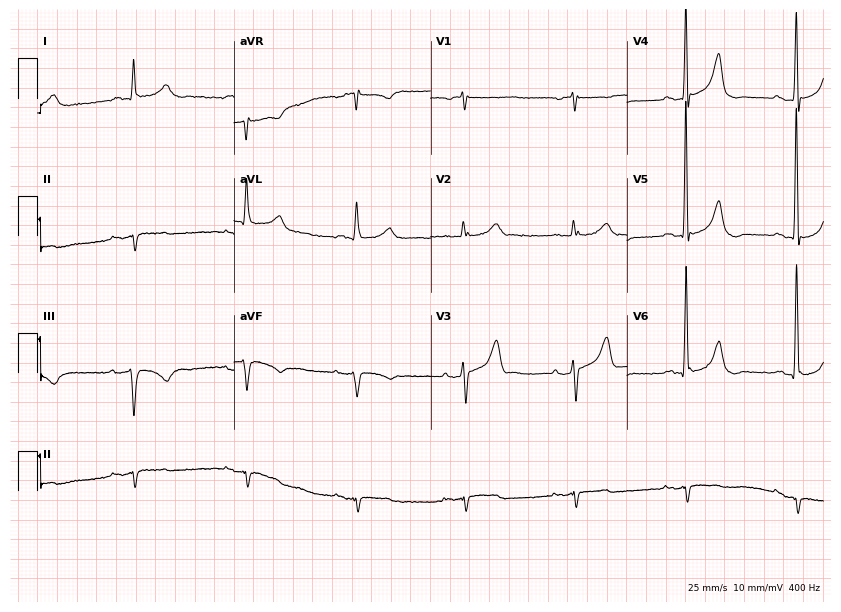
Resting 12-lead electrocardiogram. Patient: a 78-year-old male. None of these six findings is recorded: first-degree AV block, right bundle branch block, left bundle branch block, sinus bradycardia, atrial fibrillation, sinus tachycardia. Findings outside these six are not listed.